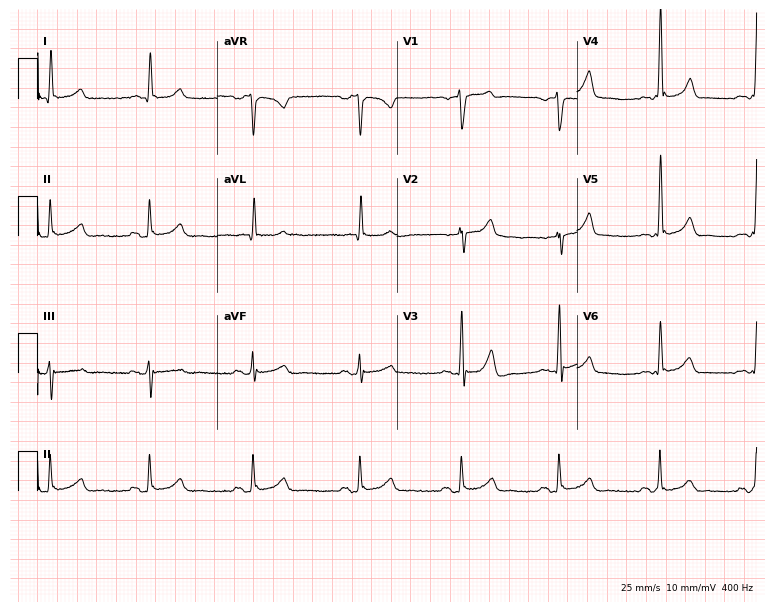
12-lead ECG from a man, 67 years old. Recorded interpretation: within normal limits.